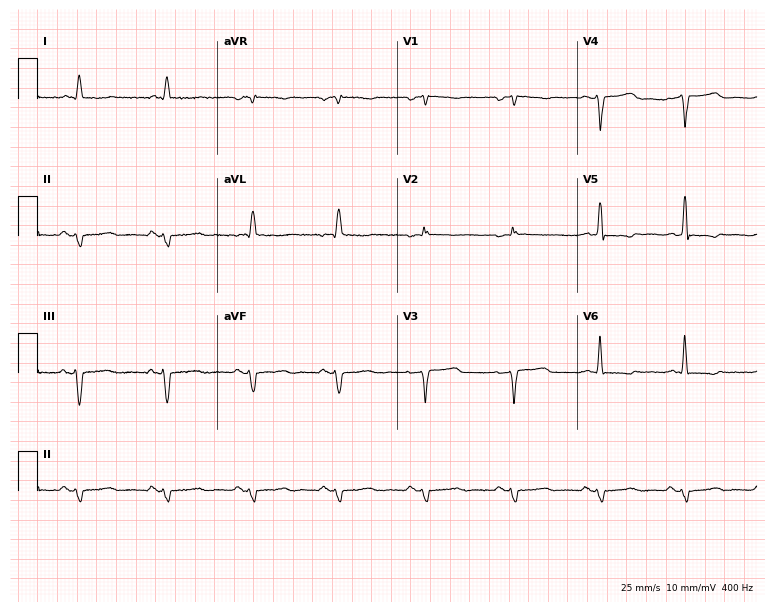
Standard 12-lead ECG recorded from a female patient, 47 years old. None of these six findings is recorded: first-degree AV block, right bundle branch block, left bundle branch block, sinus bradycardia, atrial fibrillation, sinus tachycardia. Findings outside these six are not listed.